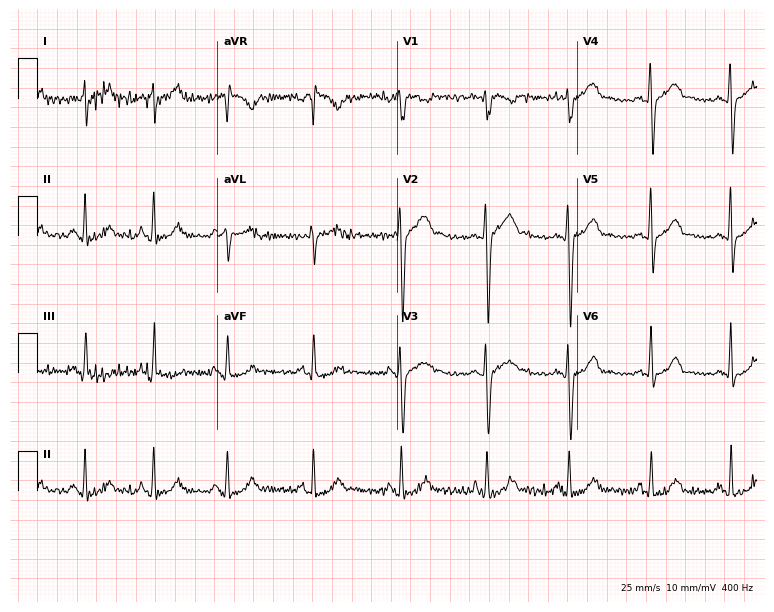
Standard 12-lead ECG recorded from a 23-year-old male patient. Read as a normal ECG.